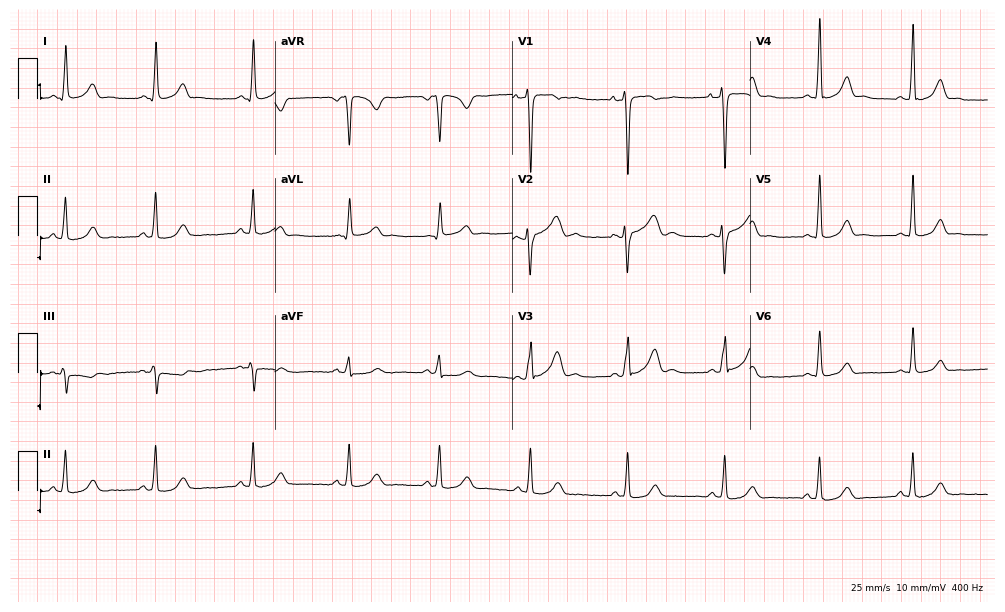
12-lead ECG (9.7-second recording at 400 Hz) from a 25-year-old woman. Labelled as a normal ECG.